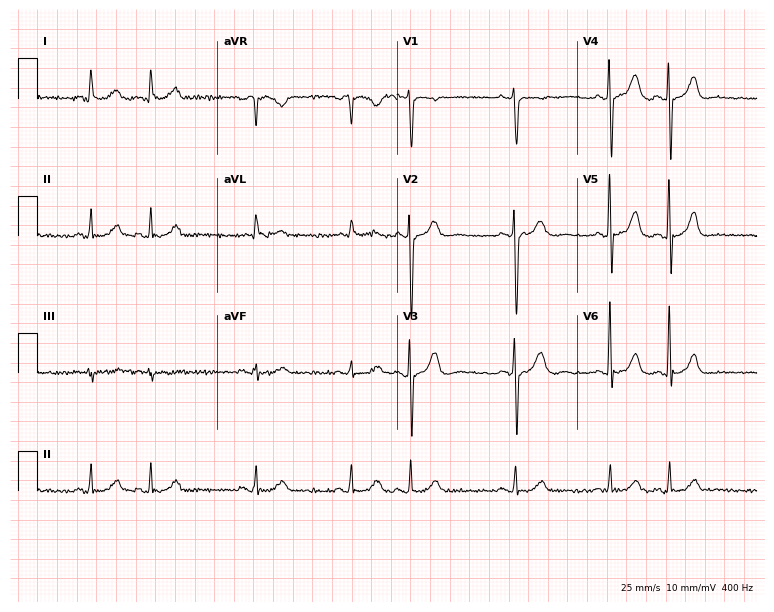
12-lead ECG from a man, 82 years old. No first-degree AV block, right bundle branch block, left bundle branch block, sinus bradycardia, atrial fibrillation or sinus tachycardia recorded for this tracing.